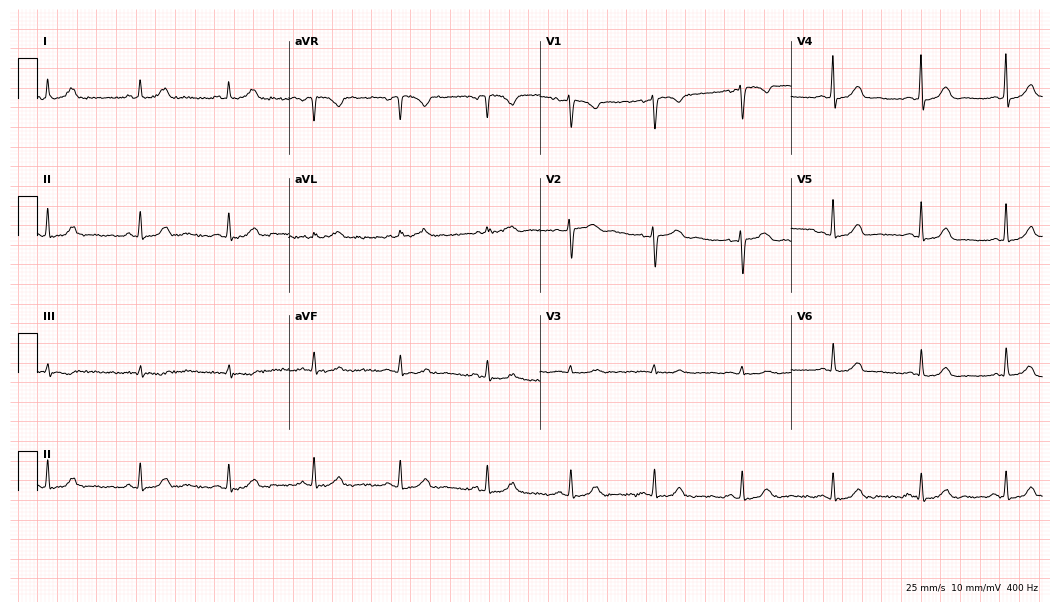
Standard 12-lead ECG recorded from a 42-year-old woman. Read as a normal ECG.